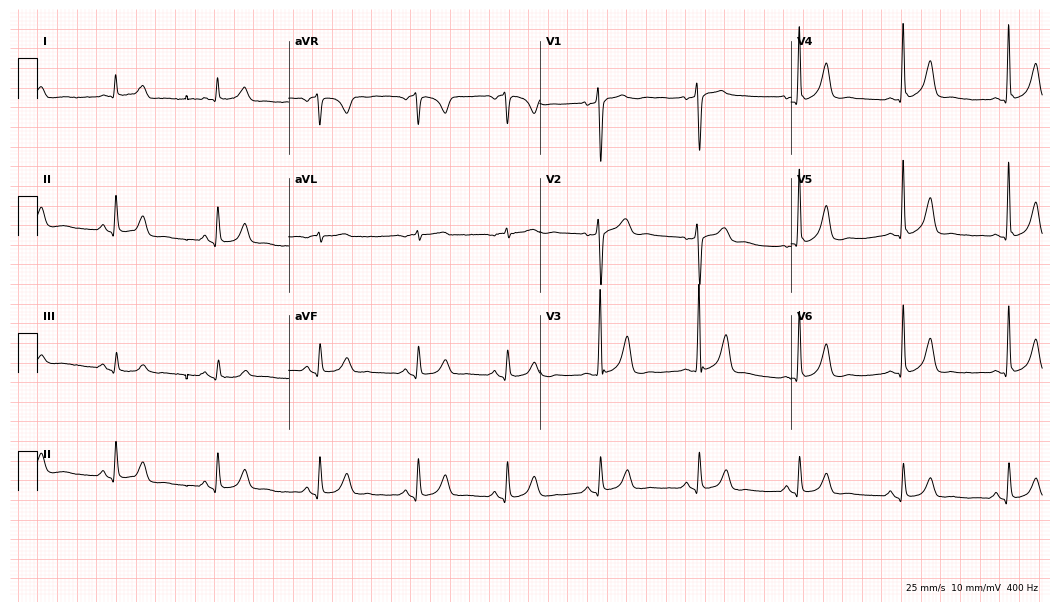
12-lead ECG from a female patient, 65 years old. Recorded interpretation: within normal limits.